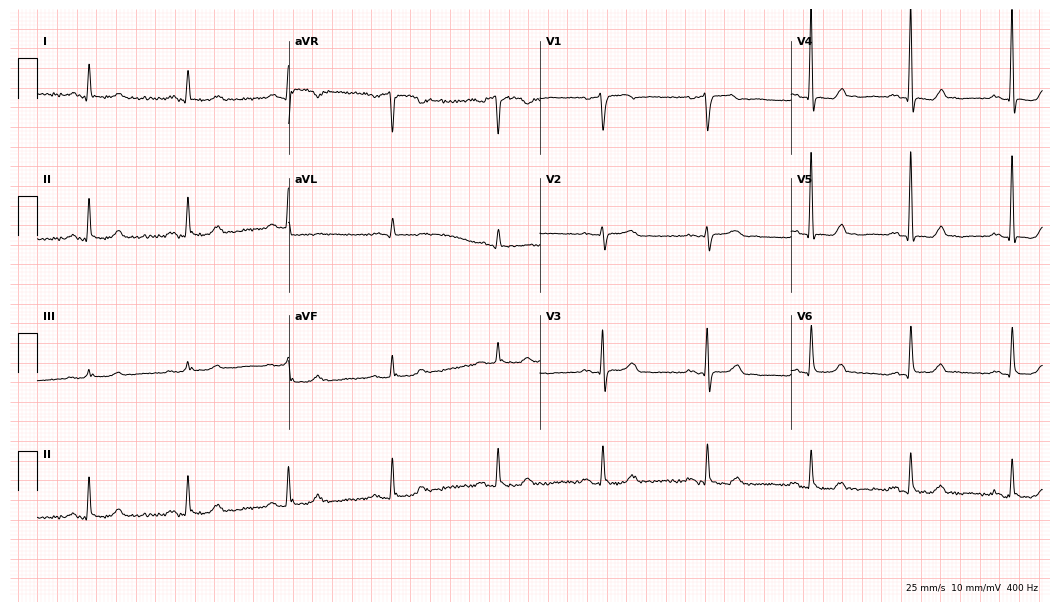
Standard 12-lead ECG recorded from a woman, 61 years old (10.2-second recording at 400 Hz). Read as a normal ECG.